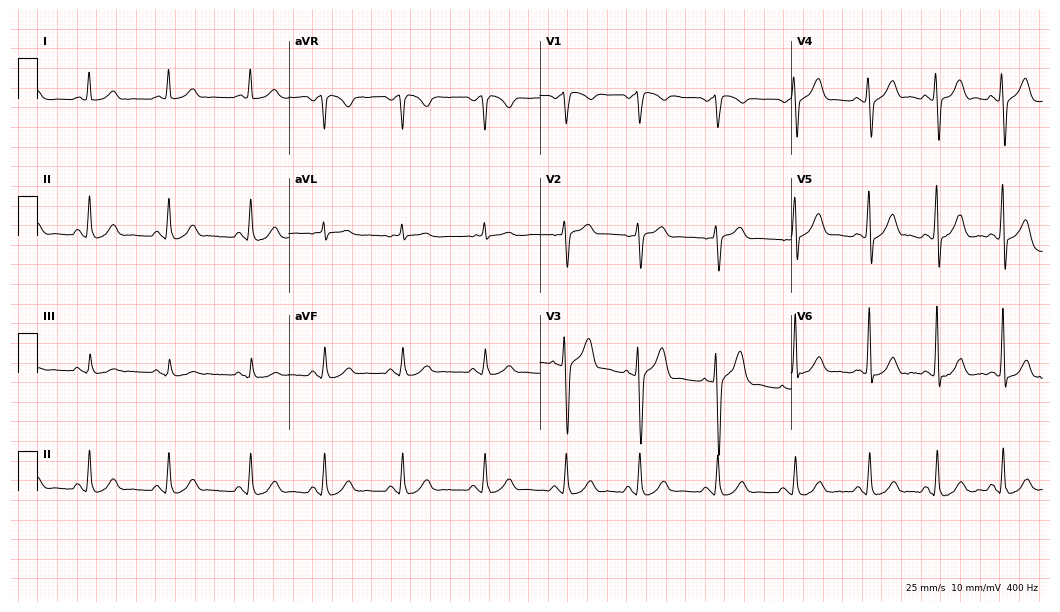
Resting 12-lead electrocardiogram (10.2-second recording at 400 Hz). Patient: a 42-year-old male. Read as a normal ECG.